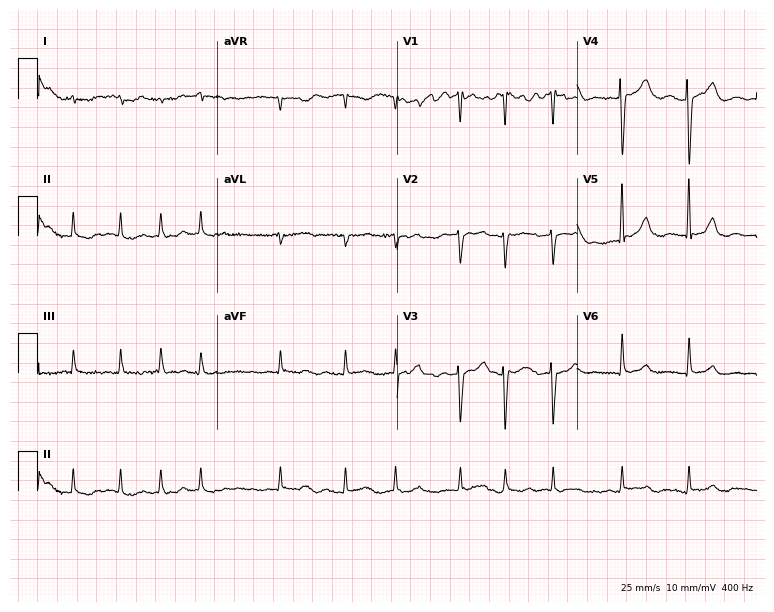
ECG — a male, 78 years old. Findings include atrial fibrillation.